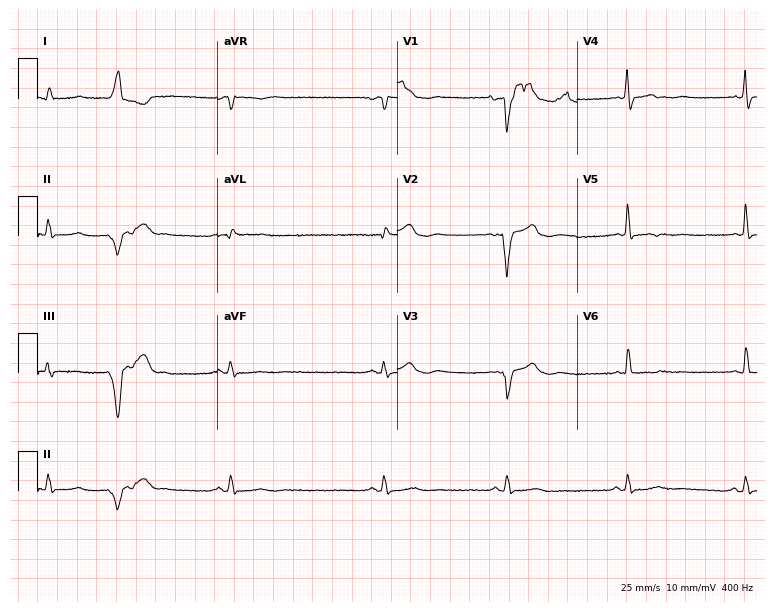
12-lead ECG from a female patient, 79 years old. Screened for six findings — first-degree AV block, right bundle branch block, left bundle branch block, sinus bradycardia, atrial fibrillation, sinus tachycardia — none is recorded.